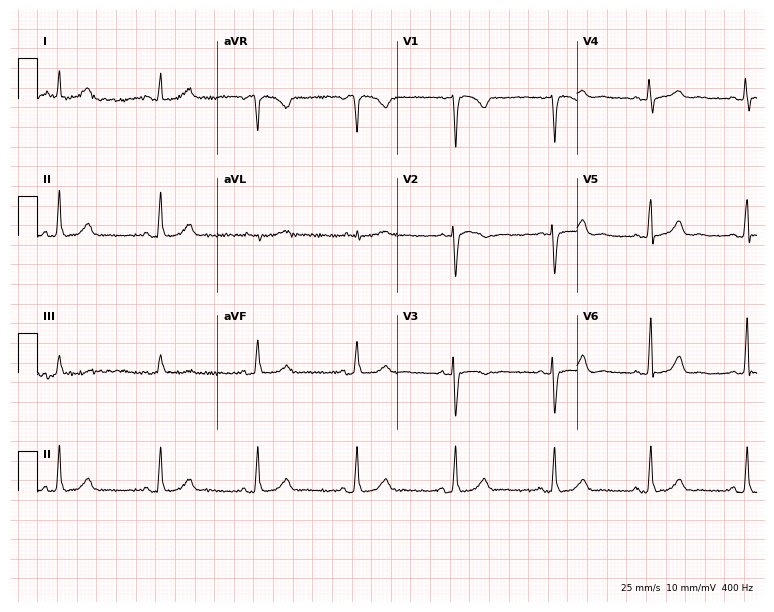
Electrocardiogram, a female, 61 years old. Of the six screened findings (first-degree AV block, right bundle branch block, left bundle branch block, sinus bradycardia, atrial fibrillation, sinus tachycardia), none is recorded. Other findings, if any, are not listed.